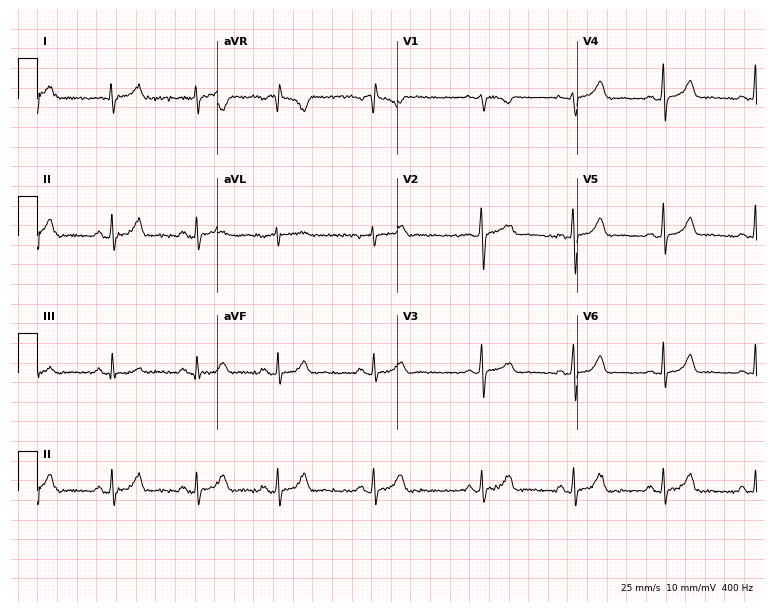
Resting 12-lead electrocardiogram. Patient: a 23-year-old female. Read as a normal ECG.